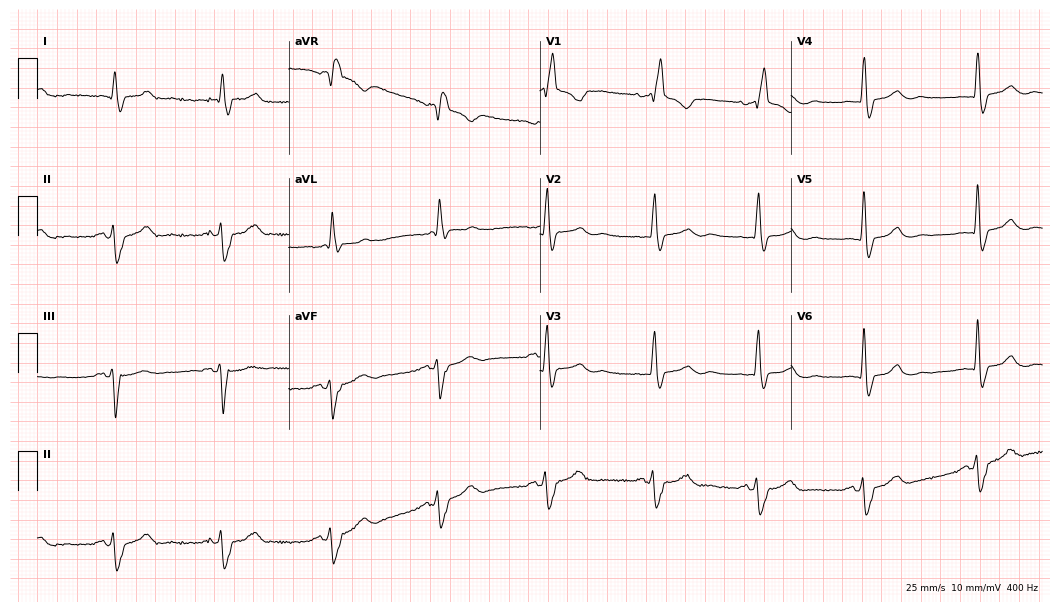
Electrocardiogram (10.2-second recording at 400 Hz), a 75-year-old male. Interpretation includes right bundle branch block.